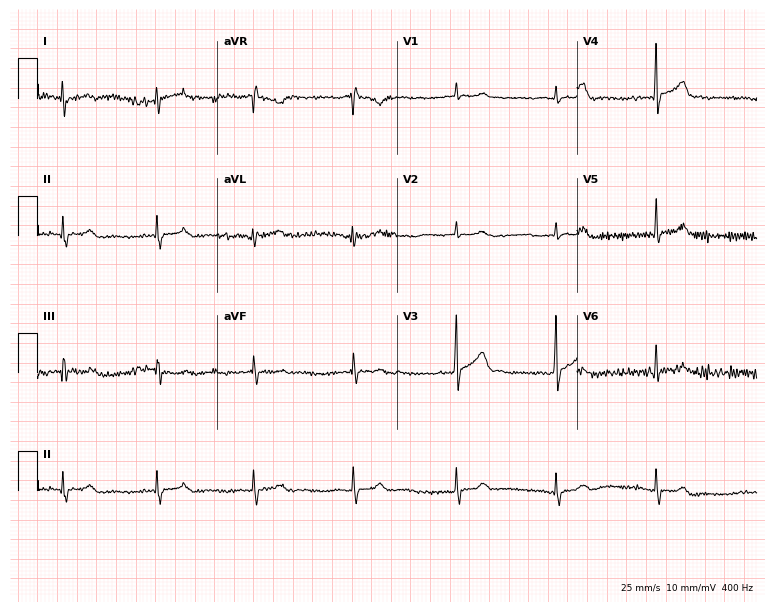
Standard 12-lead ECG recorded from a male patient, 25 years old (7.3-second recording at 400 Hz). None of these six findings is recorded: first-degree AV block, right bundle branch block, left bundle branch block, sinus bradycardia, atrial fibrillation, sinus tachycardia. Only these six findings were labelled.